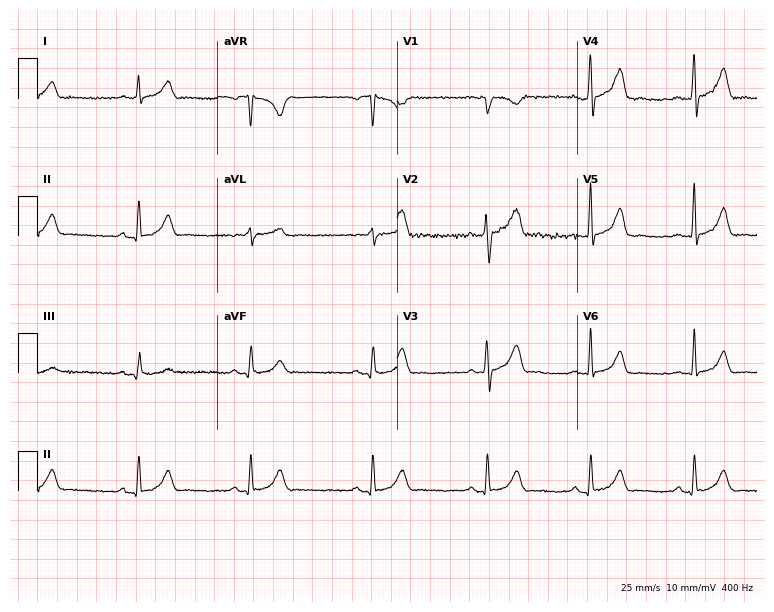
12-lead ECG from a 42-year-old male patient. Recorded interpretation: within normal limits.